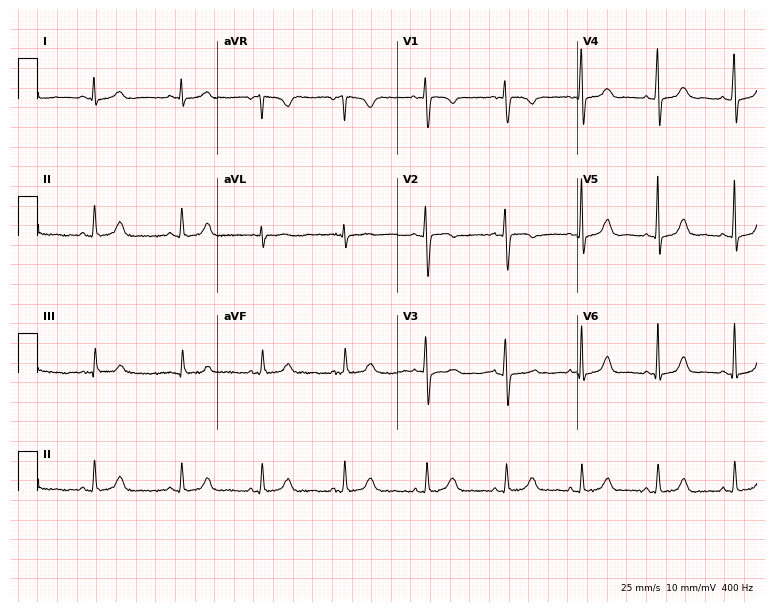
12-lead ECG from a 28-year-old female patient. Recorded interpretation: within normal limits.